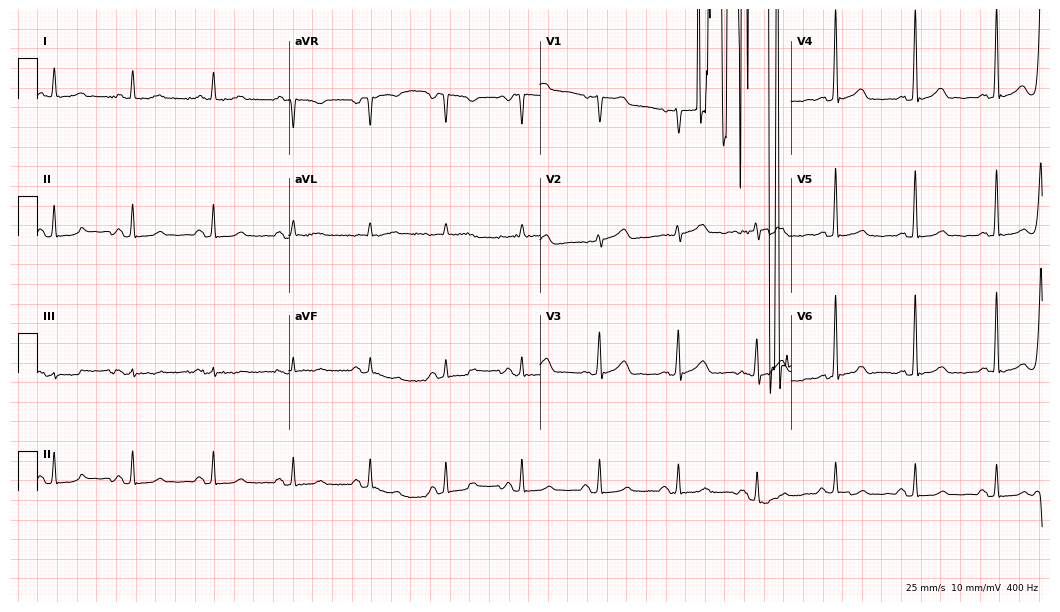
Electrocardiogram, a 62-year-old female patient. Of the six screened findings (first-degree AV block, right bundle branch block, left bundle branch block, sinus bradycardia, atrial fibrillation, sinus tachycardia), none is recorded. Only these six findings were labelled.